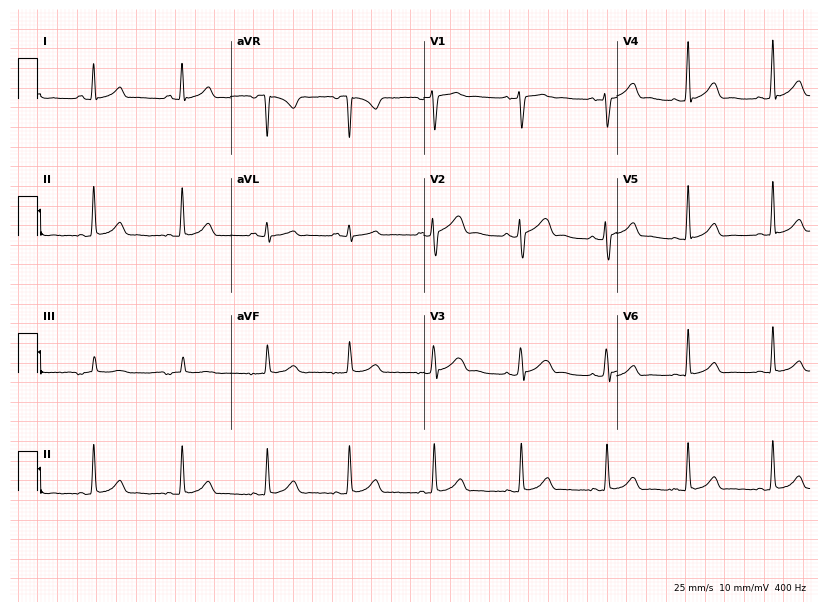
Standard 12-lead ECG recorded from a 27-year-old woman. None of these six findings is recorded: first-degree AV block, right bundle branch block, left bundle branch block, sinus bradycardia, atrial fibrillation, sinus tachycardia. Findings outside these six are not listed.